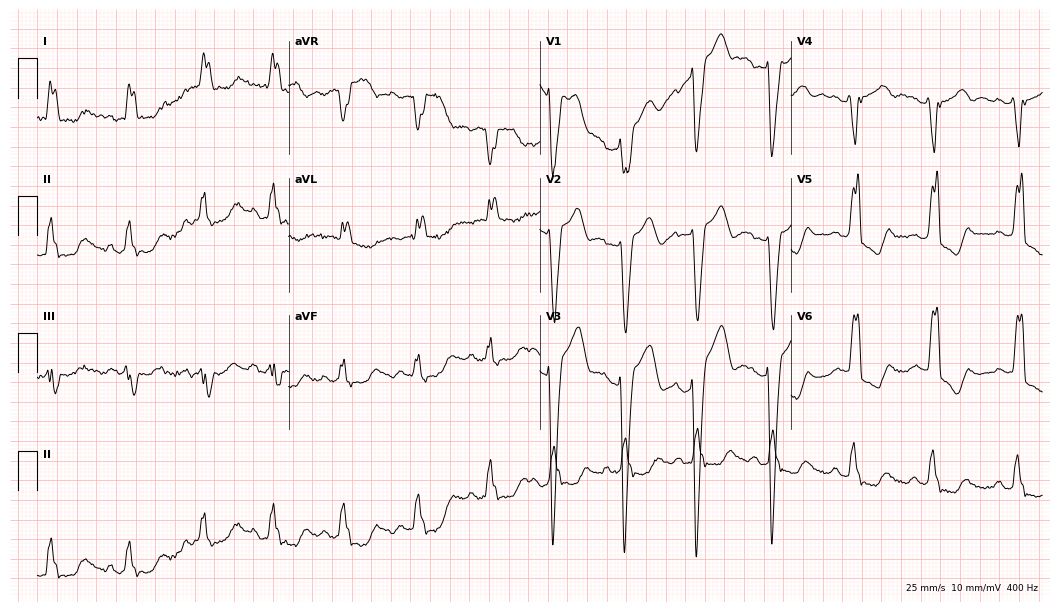
ECG — a female patient, 71 years old. Findings include left bundle branch block.